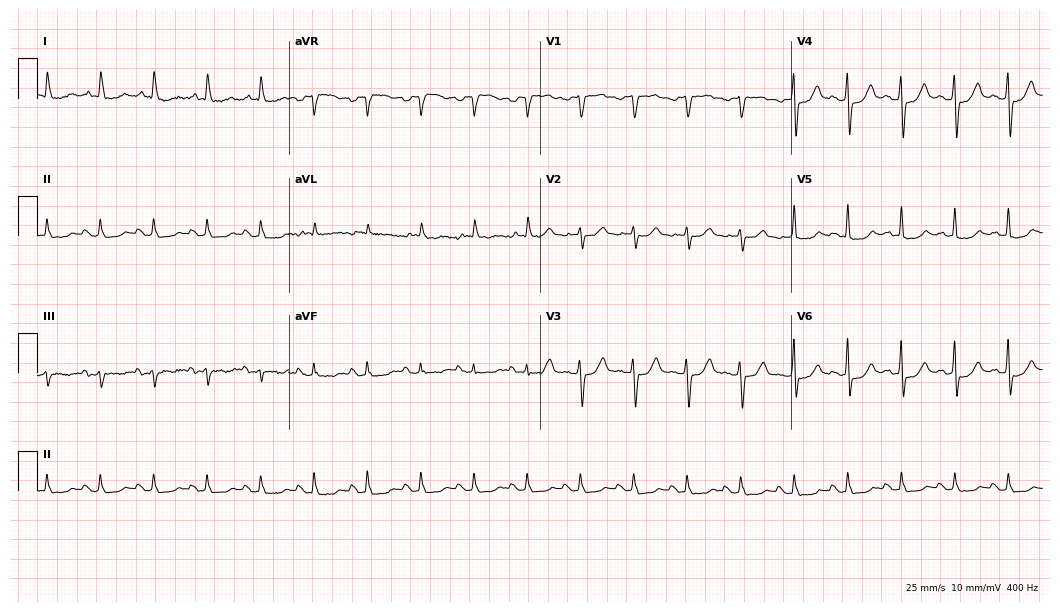
12-lead ECG (10.2-second recording at 400 Hz) from a male, 69 years old. Findings include sinus tachycardia (a sinus rate of 100 beats per minute or more).